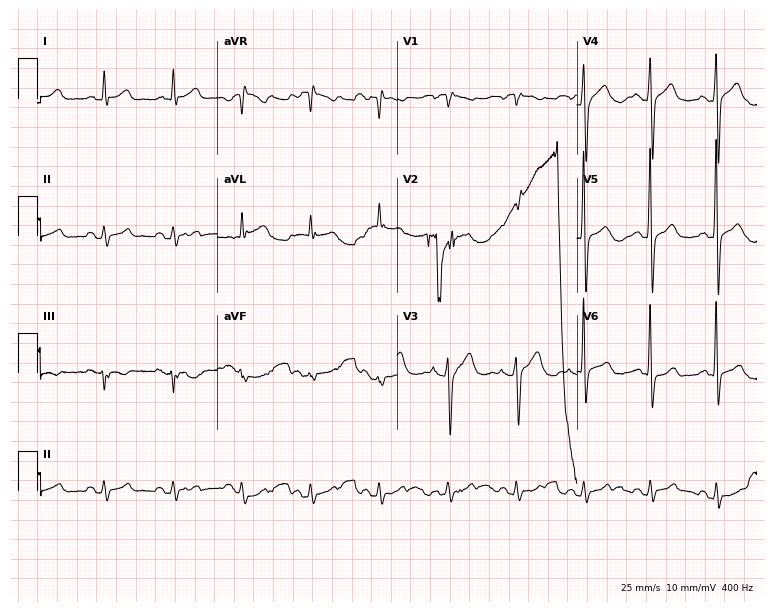
ECG (7.3-second recording at 400 Hz) — a male patient, 71 years old. Screened for six findings — first-degree AV block, right bundle branch block (RBBB), left bundle branch block (LBBB), sinus bradycardia, atrial fibrillation (AF), sinus tachycardia — none is recorded. Findings outside these six are not listed.